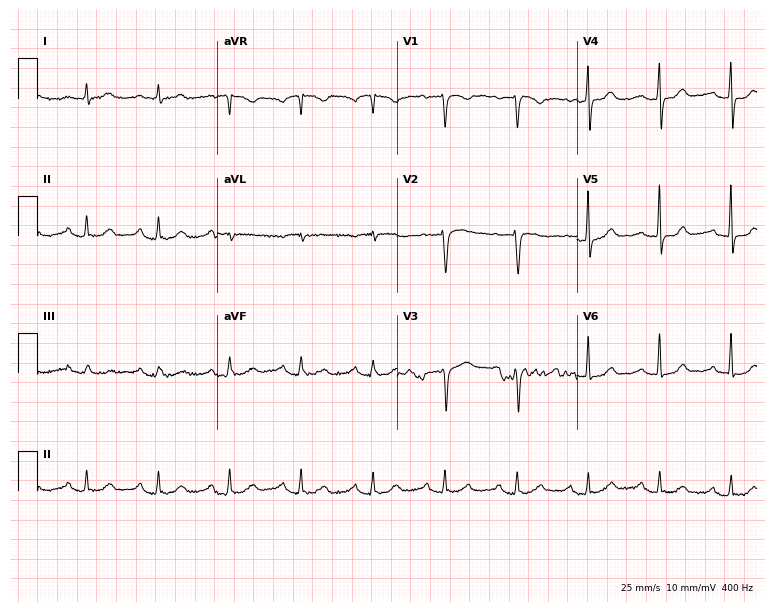
Electrocardiogram, a female patient, 60 years old. Of the six screened findings (first-degree AV block, right bundle branch block (RBBB), left bundle branch block (LBBB), sinus bradycardia, atrial fibrillation (AF), sinus tachycardia), none is recorded.